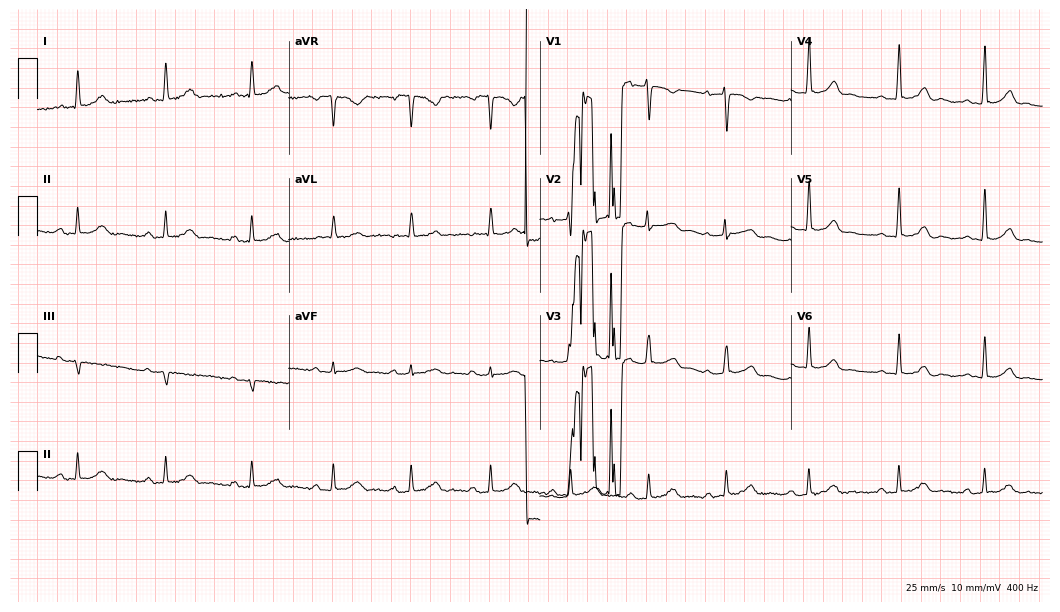
Standard 12-lead ECG recorded from a female, 24 years old (10.2-second recording at 400 Hz). None of these six findings is recorded: first-degree AV block, right bundle branch block, left bundle branch block, sinus bradycardia, atrial fibrillation, sinus tachycardia.